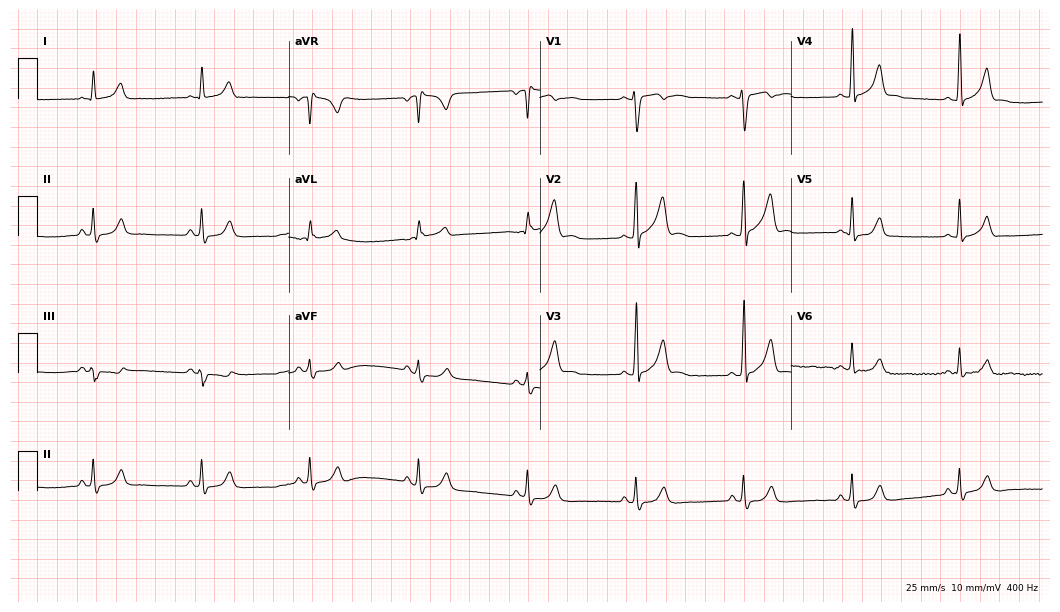
12-lead ECG from a 26-year-old man. No first-degree AV block, right bundle branch block (RBBB), left bundle branch block (LBBB), sinus bradycardia, atrial fibrillation (AF) or sinus tachycardia recorded for this tracing. Only these six findings were labelled.